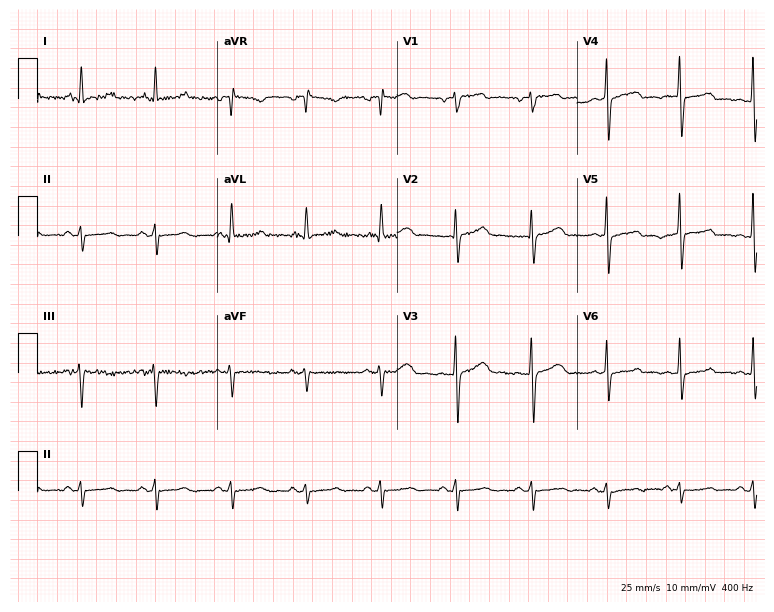
12-lead ECG from a 56-year-old female patient. No first-degree AV block, right bundle branch block, left bundle branch block, sinus bradycardia, atrial fibrillation or sinus tachycardia recorded for this tracing. Findings outside these six are not listed.